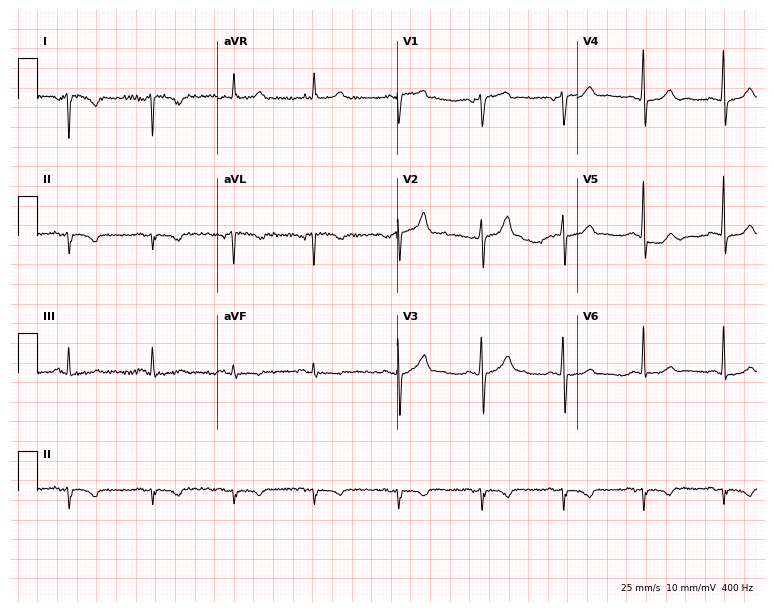
Standard 12-lead ECG recorded from a 77-year-old male patient (7.3-second recording at 400 Hz). None of these six findings is recorded: first-degree AV block, right bundle branch block (RBBB), left bundle branch block (LBBB), sinus bradycardia, atrial fibrillation (AF), sinus tachycardia.